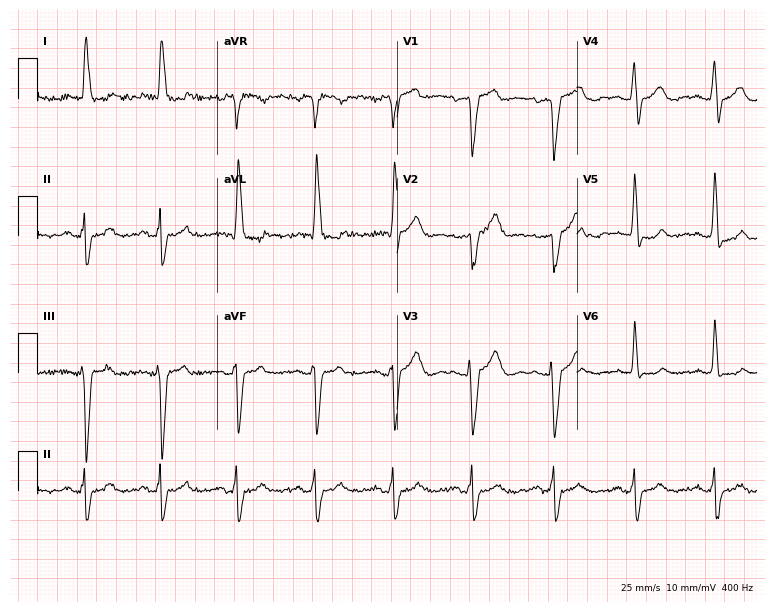
12-lead ECG (7.3-second recording at 400 Hz) from a female patient, 65 years old. Screened for six findings — first-degree AV block, right bundle branch block, left bundle branch block, sinus bradycardia, atrial fibrillation, sinus tachycardia — none is recorded.